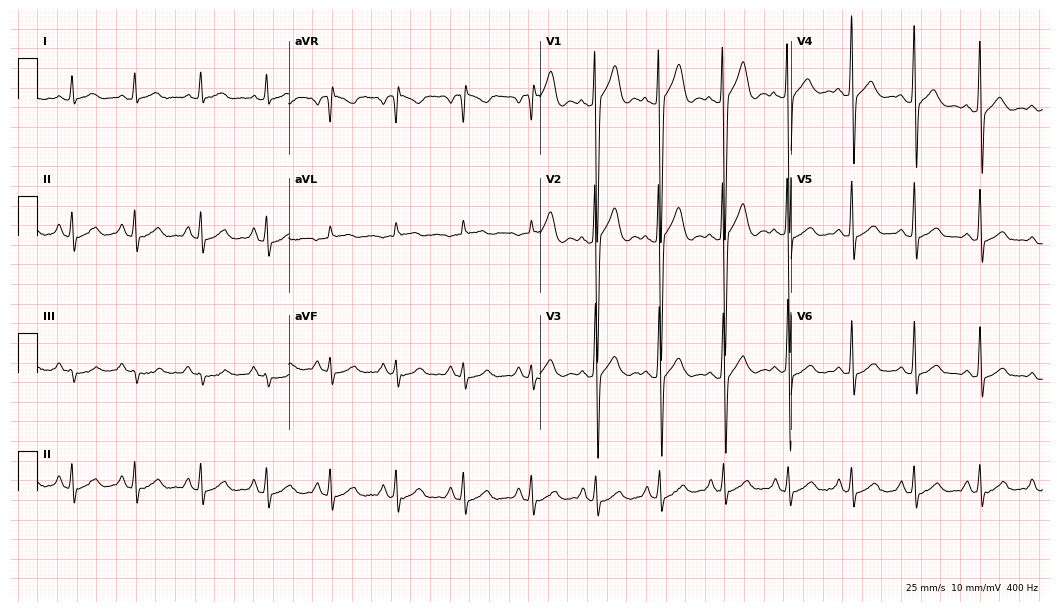
Resting 12-lead electrocardiogram. Patient: a 20-year-old man. None of these six findings is recorded: first-degree AV block, right bundle branch block (RBBB), left bundle branch block (LBBB), sinus bradycardia, atrial fibrillation (AF), sinus tachycardia. Only these six findings were labelled.